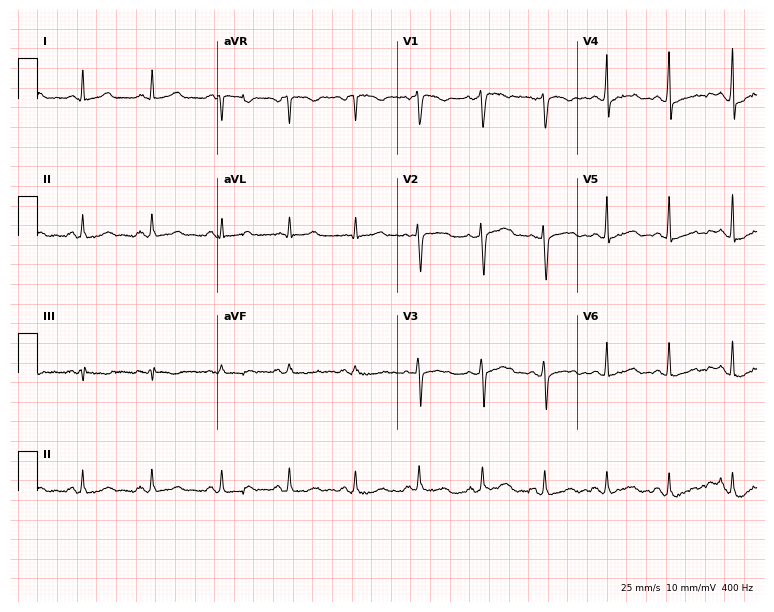
ECG (7.3-second recording at 400 Hz) — a 34-year-old female. Labelled as a normal ECG.